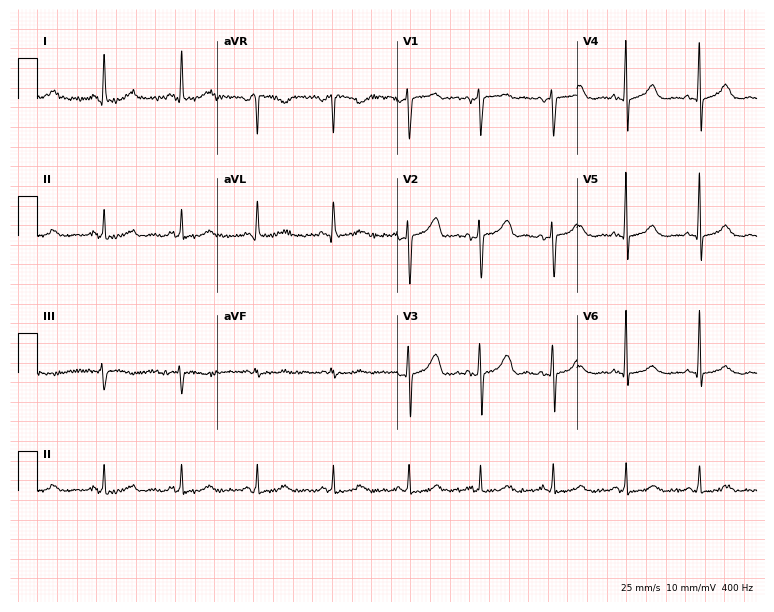
Resting 12-lead electrocardiogram. Patient: a female, 60 years old. None of these six findings is recorded: first-degree AV block, right bundle branch block, left bundle branch block, sinus bradycardia, atrial fibrillation, sinus tachycardia.